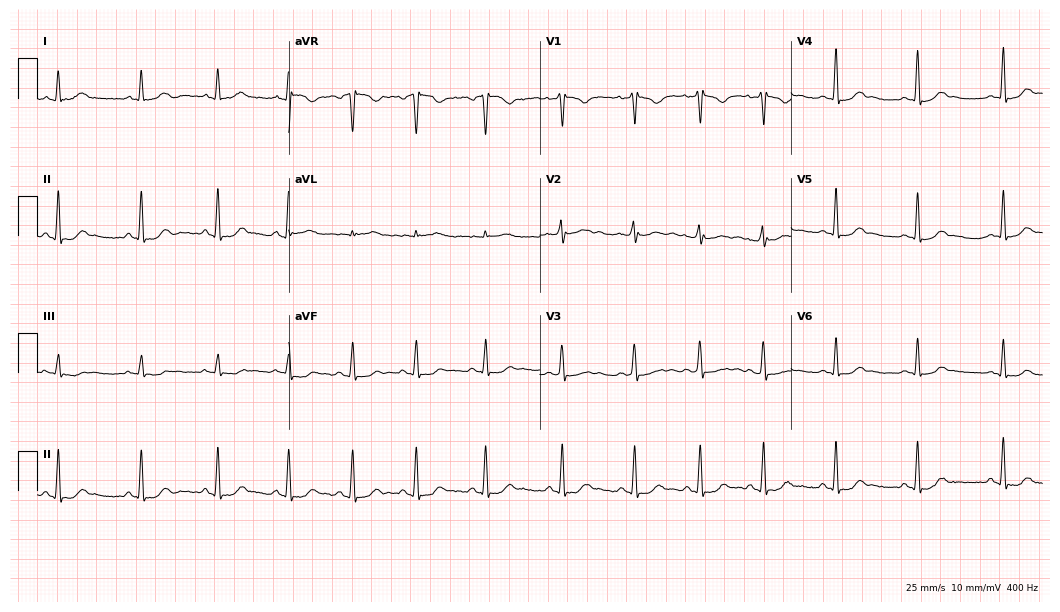
ECG (10.2-second recording at 400 Hz) — a 22-year-old female. Labelled as a normal ECG.